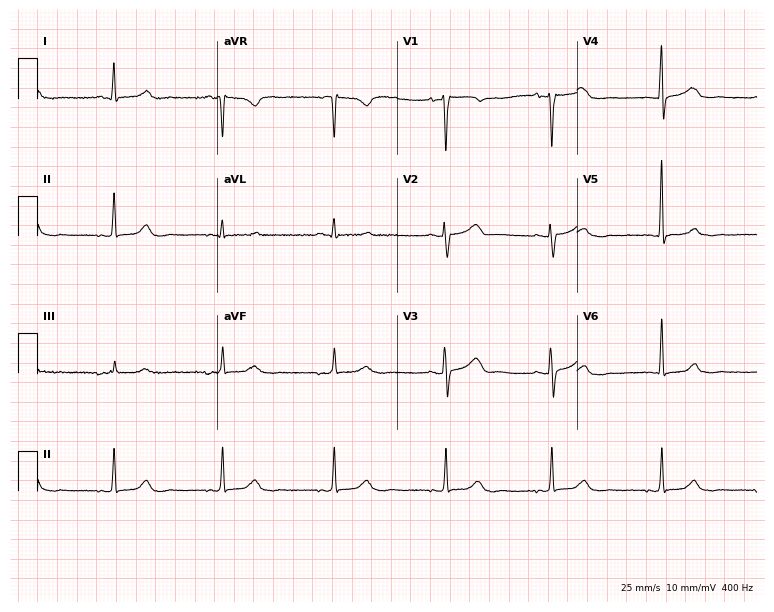
Electrocardiogram, a female, 52 years old. Of the six screened findings (first-degree AV block, right bundle branch block (RBBB), left bundle branch block (LBBB), sinus bradycardia, atrial fibrillation (AF), sinus tachycardia), none is recorded. Findings outside these six are not listed.